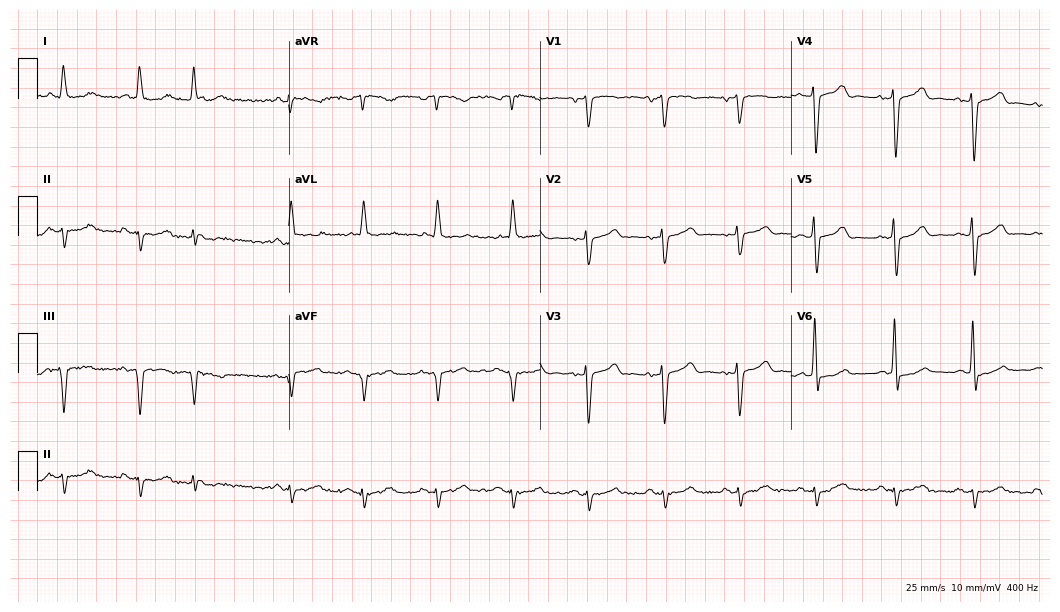
Standard 12-lead ECG recorded from a female, 81 years old. None of these six findings is recorded: first-degree AV block, right bundle branch block (RBBB), left bundle branch block (LBBB), sinus bradycardia, atrial fibrillation (AF), sinus tachycardia. Other findings, if any, are not listed.